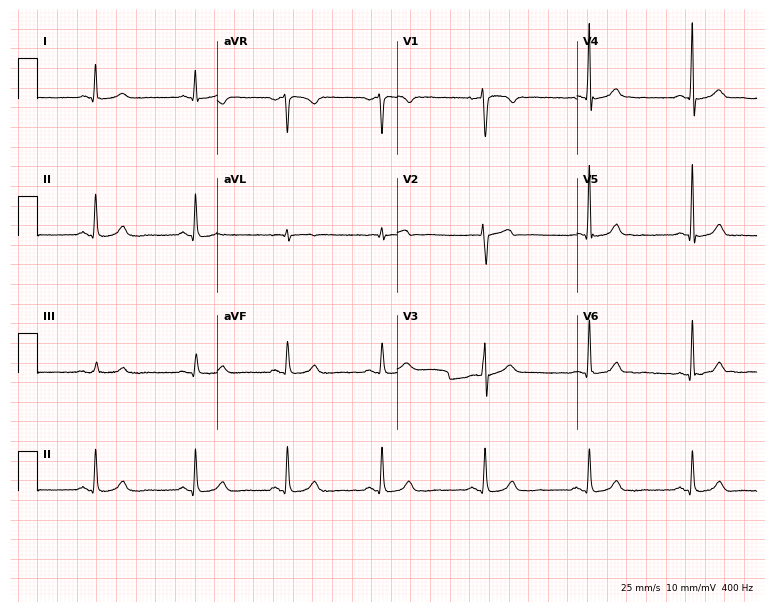
12-lead ECG from a 36-year-old woman. Screened for six findings — first-degree AV block, right bundle branch block, left bundle branch block, sinus bradycardia, atrial fibrillation, sinus tachycardia — none is recorded.